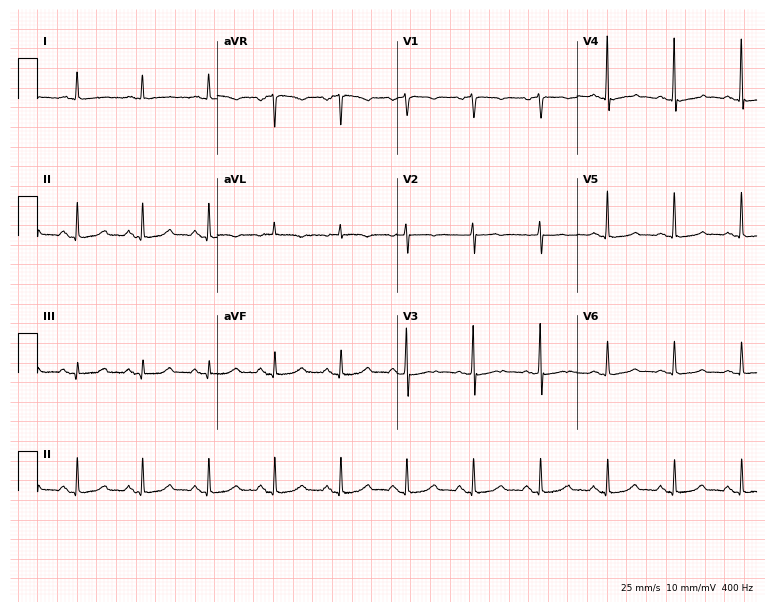
12-lead ECG from a female patient, 78 years old. No first-degree AV block, right bundle branch block (RBBB), left bundle branch block (LBBB), sinus bradycardia, atrial fibrillation (AF) or sinus tachycardia recorded for this tracing.